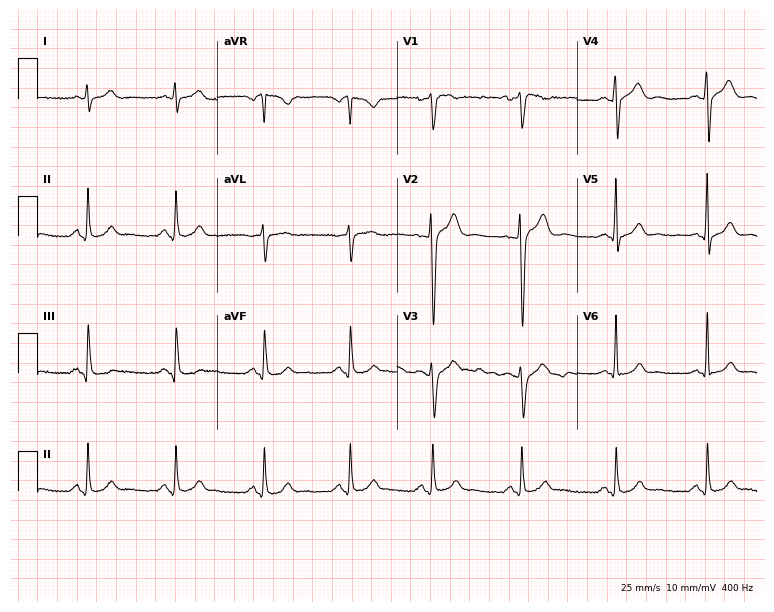
Standard 12-lead ECG recorded from a male patient, 45 years old (7.3-second recording at 400 Hz). None of these six findings is recorded: first-degree AV block, right bundle branch block (RBBB), left bundle branch block (LBBB), sinus bradycardia, atrial fibrillation (AF), sinus tachycardia. Findings outside these six are not listed.